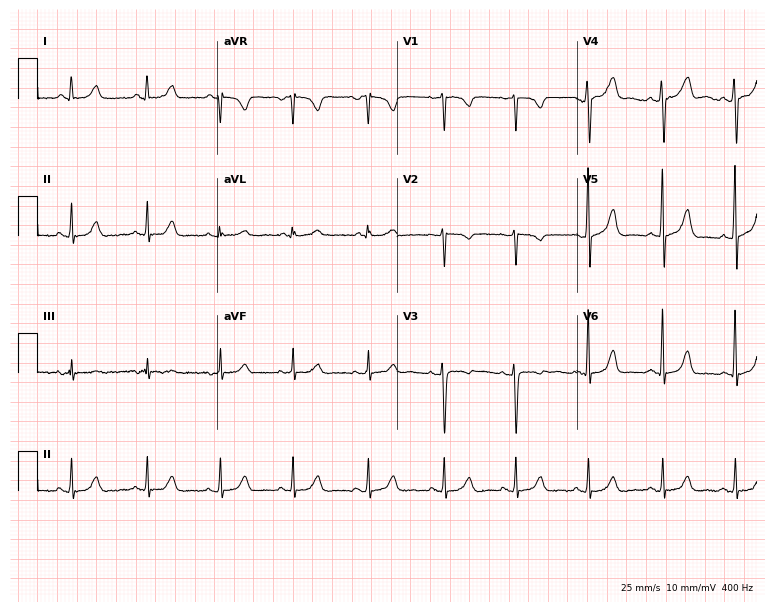
12-lead ECG (7.3-second recording at 400 Hz) from a 33-year-old woman. Labelled as a normal ECG.